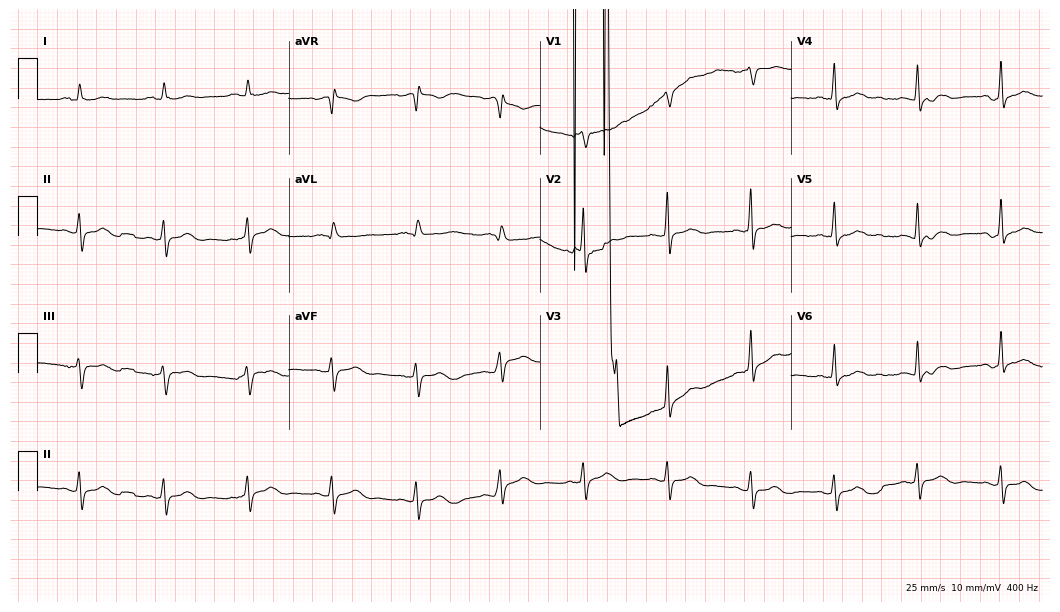
Electrocardiogram (10.2-second recording at 400 Hz), a man, 68 years old. Of the six screened findings (first-degree AV block, right bundle branch block, left bundle branch block, sinus bradycardia, atrial fibrillation, sinus tachycardia), none is recorded. Only these six findings were labelled.